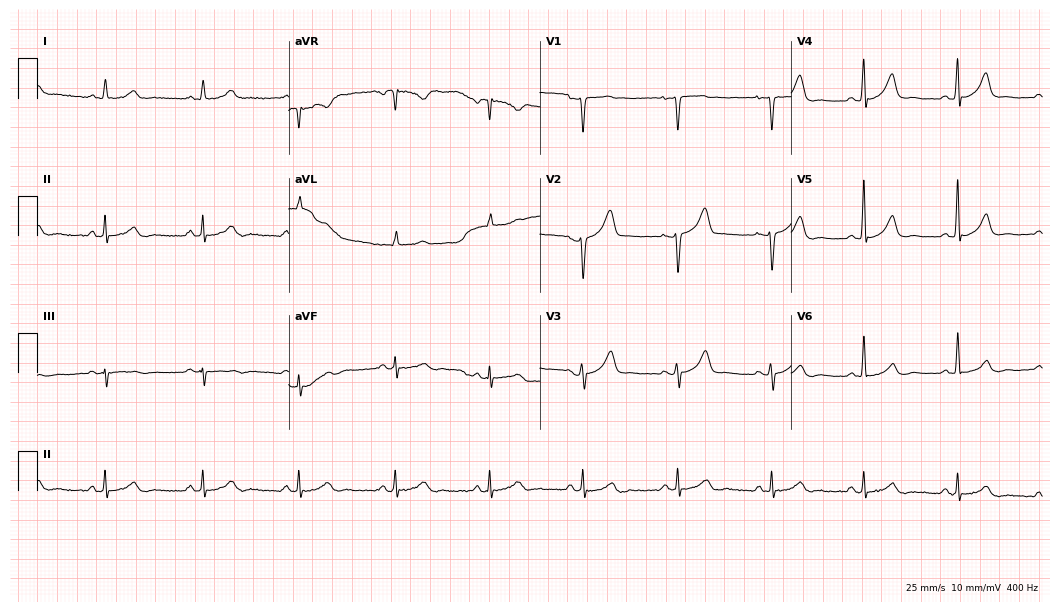
Standard 12-lead ECG recorded from a female, 43 years old. Read as a normal ECG.